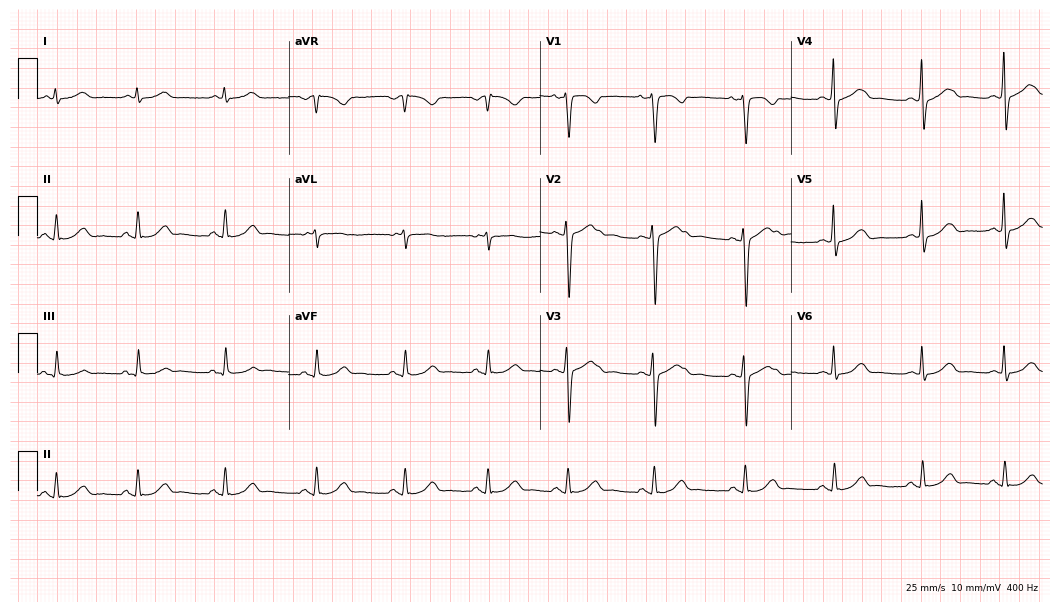
Resting 12-lead electrocardiogram (10.2-second recording at 400 Hz). Patient: a female, 33 years old. Read as a normal ECG.